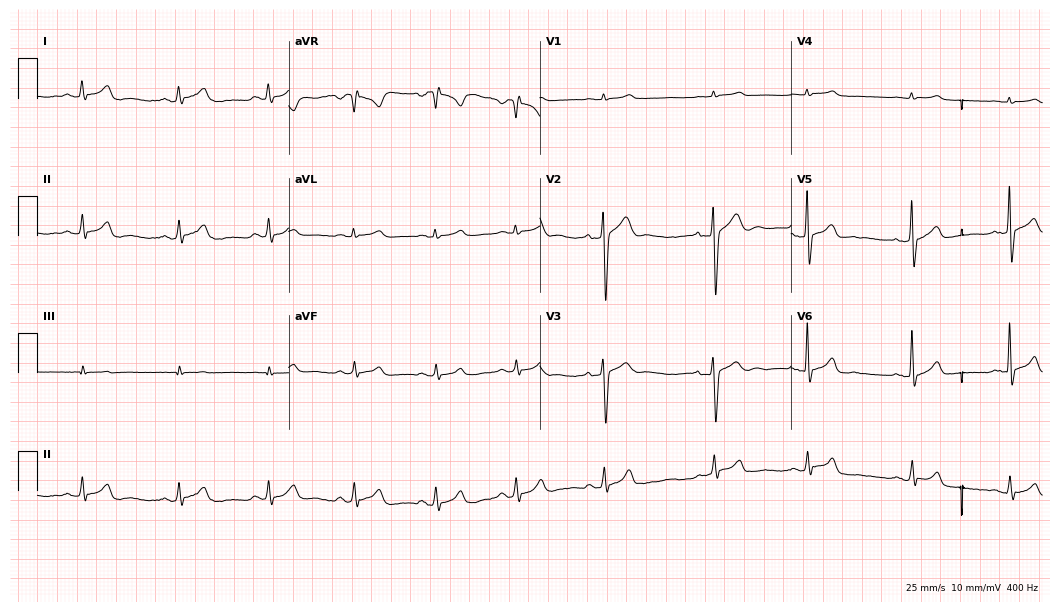
Resting 12-lead electrocardiogram (10.2-second recording at 400 Hz). Patient: a 25-year-old man. None of these six findings is recorded: first-degree AV block, right bundle branch block, left bundle branch block, sinus bradycardia, atrial fibrillation, sinus tachycardia. Only these six findings were labelled.